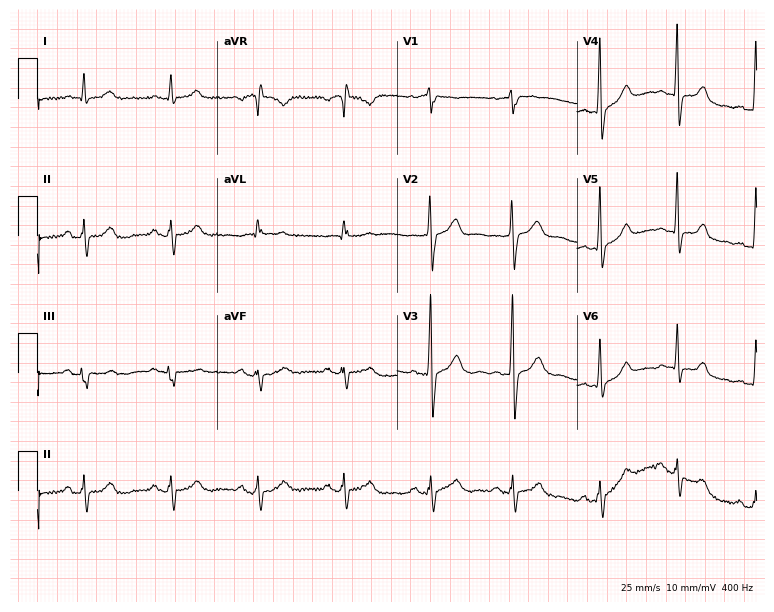
12-lead ECG from a 44-year-old male (7.3-second recording at 400 Hz). No first-degree AV block, right bundle branch block, left bundle branch block, sinus bradycardia, atrial fibrillation or sinus tachycardia recorded for this tracing.